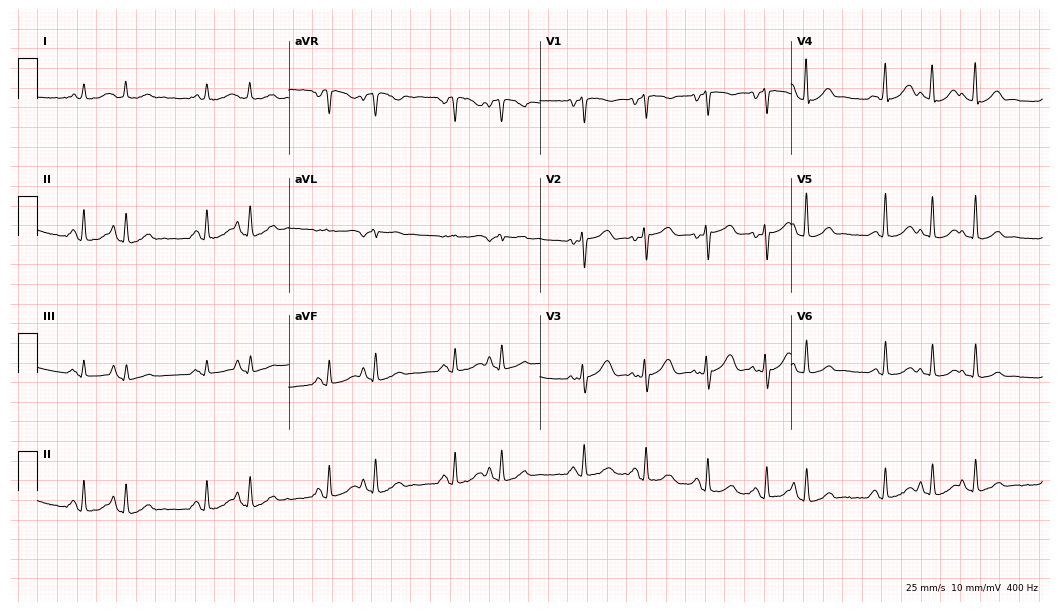
12-lead ECG from a female patient, 51 years old. Screened for six findings — first-degree AV block, right bundle branch block (RBBB), left bundle branch block (LBBB), sinus bradycardia, atrial fibrillation (AF), sinus tachycardia — none is recorded.